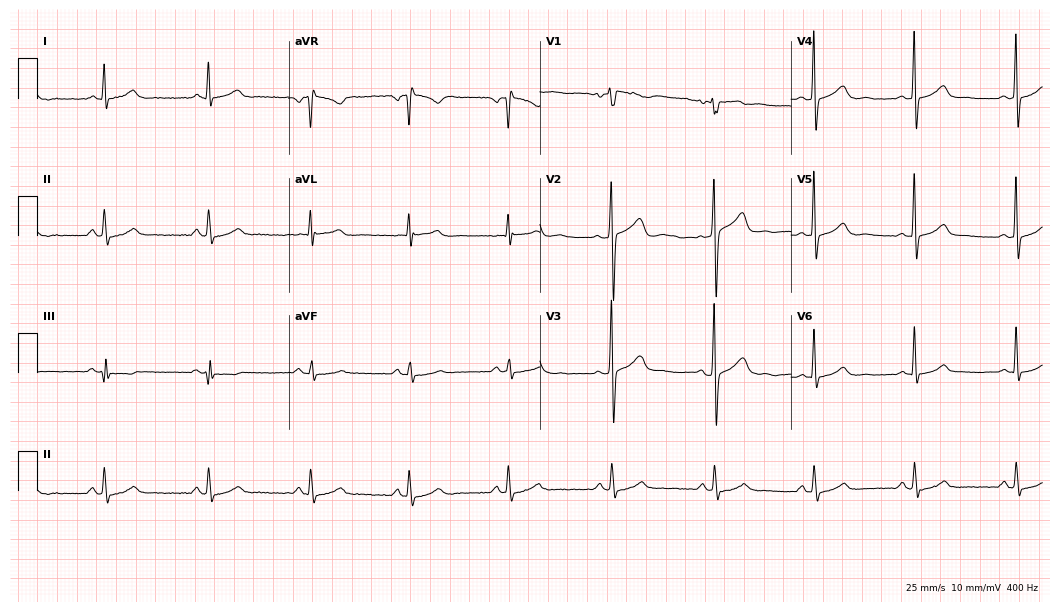
12-lead ECG from a male, 33 years old. Labelled as a normal ECG.